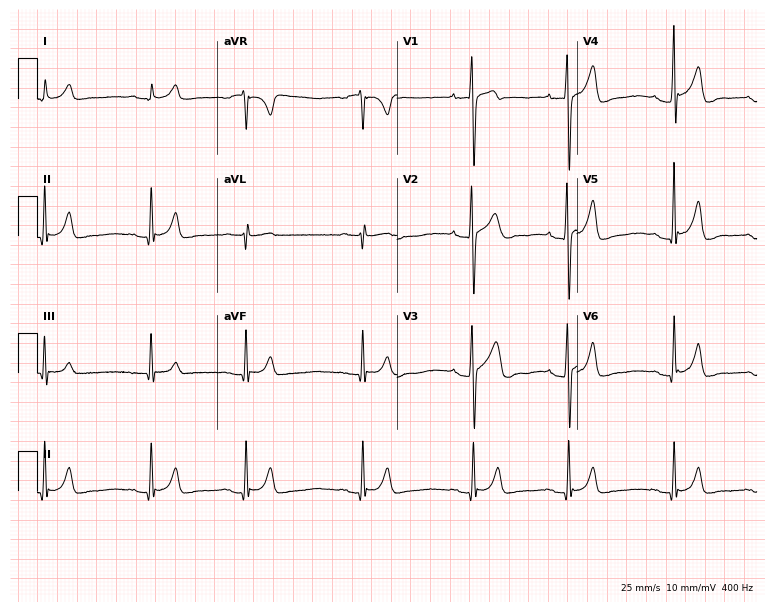
12-lead ECG (7.3-second recording at 400 Hz) from a male, 21 years old. Labelled as a normal ECG.